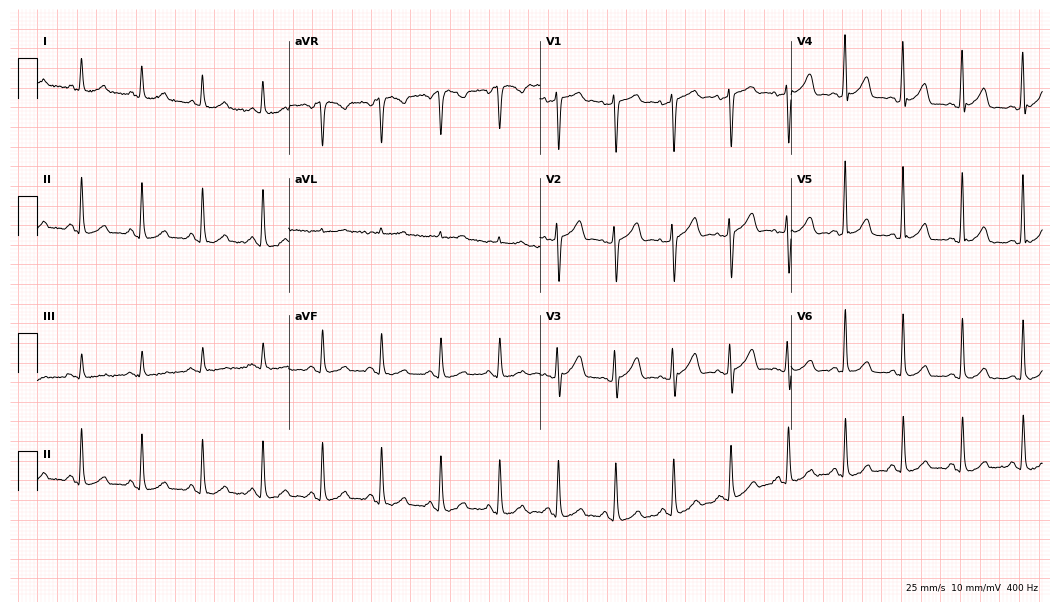
Resting 12-lead electrocardiogram. Patient: a female, 53 years old. Read as a normal ECG.